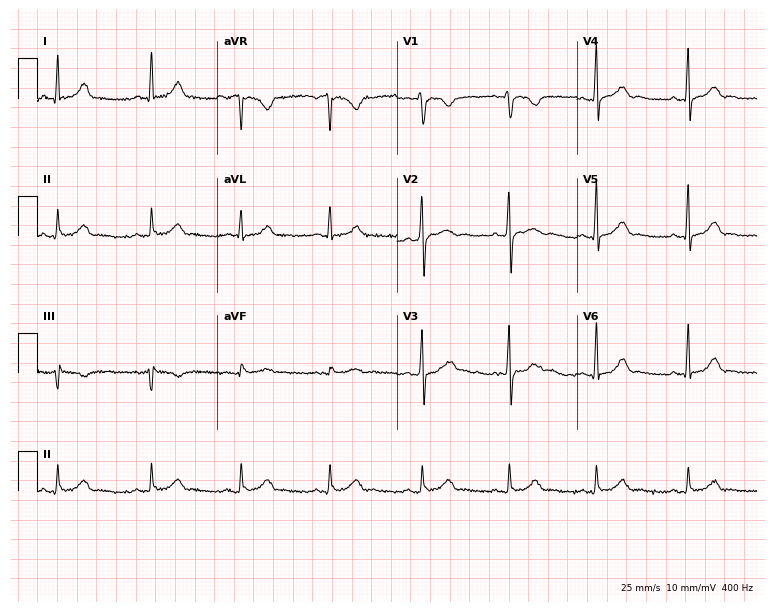
12-lead ECG from a male patient, 45 years old. Labelled as a normal ECG.